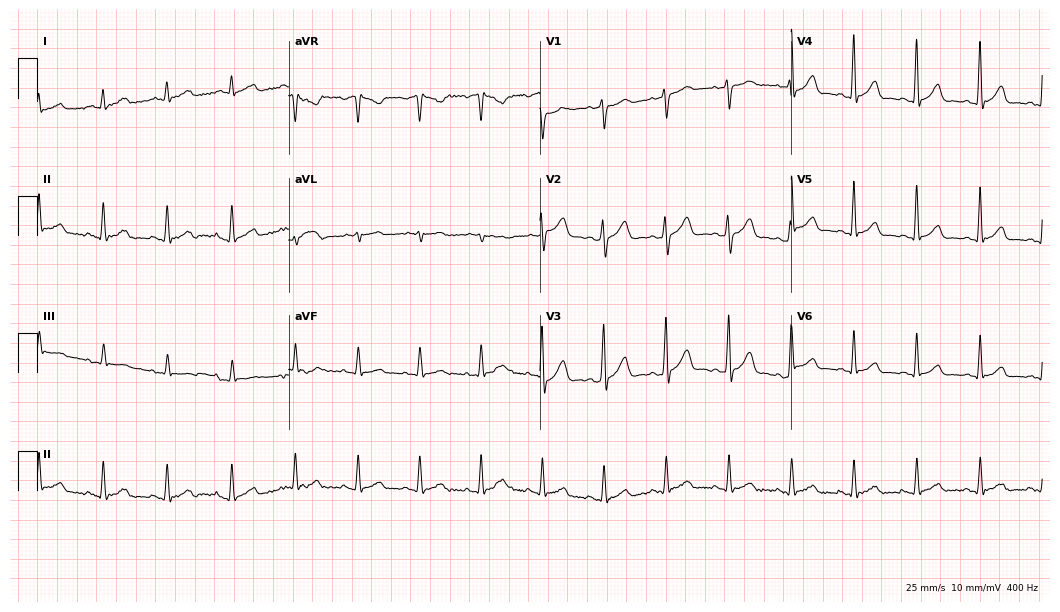
12-lead ECG (10.2-second recording at 400 Hz) from a male, 66 years old. Labelled as a normal ECG.